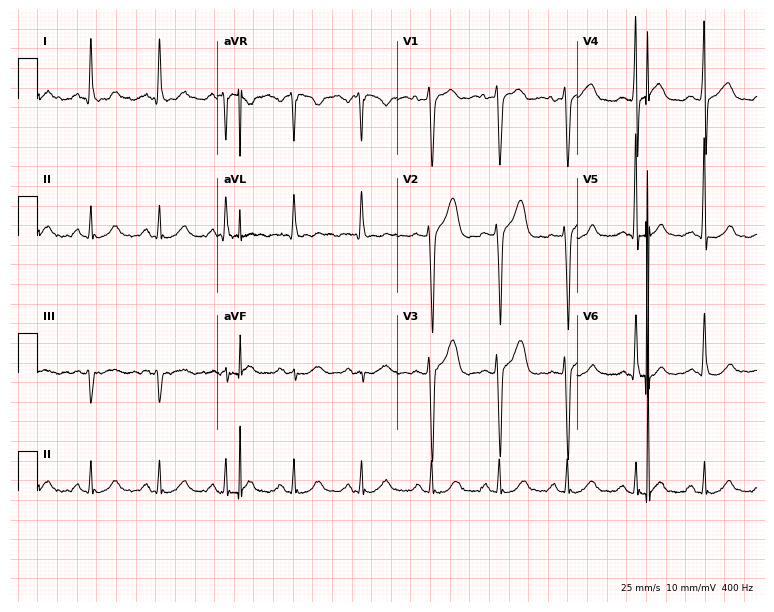
Resting 12-lead electrocardiogram (7.3-second recording at 400 Hz). Patient: a 44-year-old man. None of these six findings is recorded: first-degree AV block, right bundle branch block, left bundle branch block, sinus bradycardia, atrial fibrillation, sinus tachycardia. Findings outside these six are not listed.